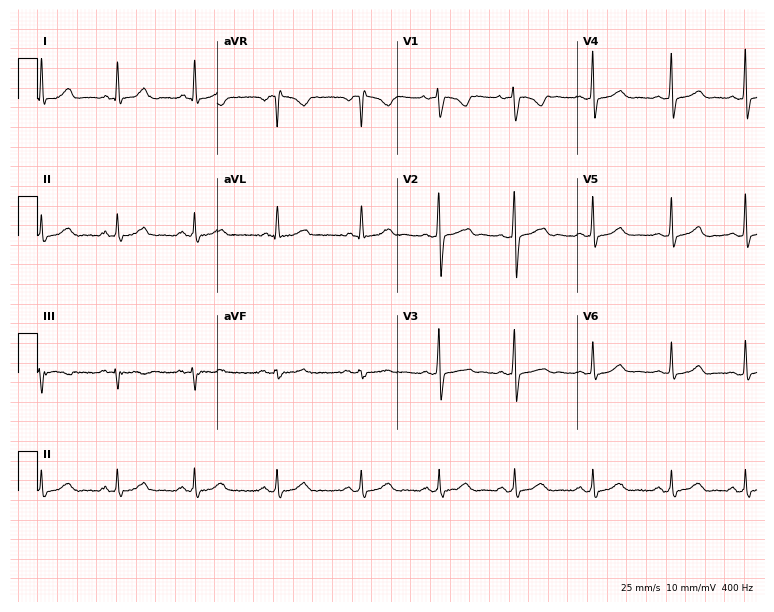
Standard 12-lead ECG recorded from a female, 38 years old (7.3-second recording at 400 Hz). Read as a normal ECG.